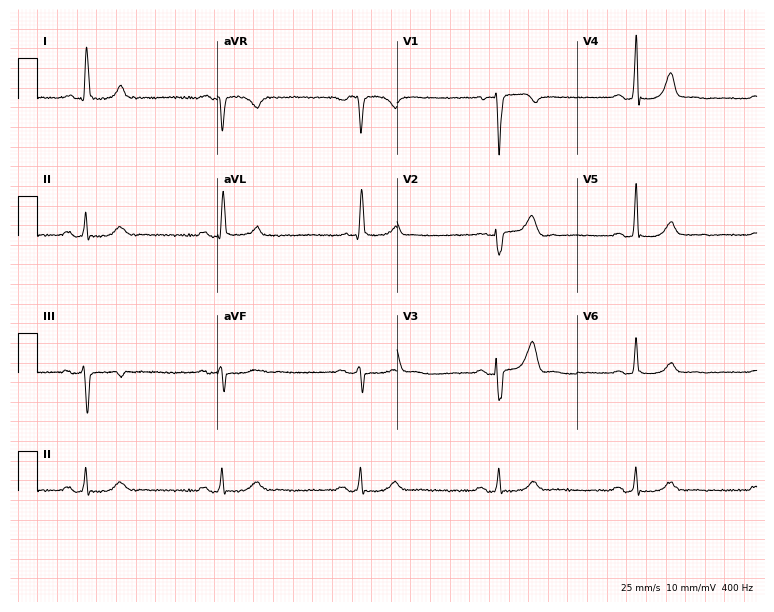
Resting 12-lead electrocardiogram. Patient: a 66-year-old man. None of these six findings is recorded: first-degree AV block, right bundle branch block, left bundle branch block, sinus bradycardia, atrial fibrillation, sinus tachycardia. Other findings, if any, are not listed.